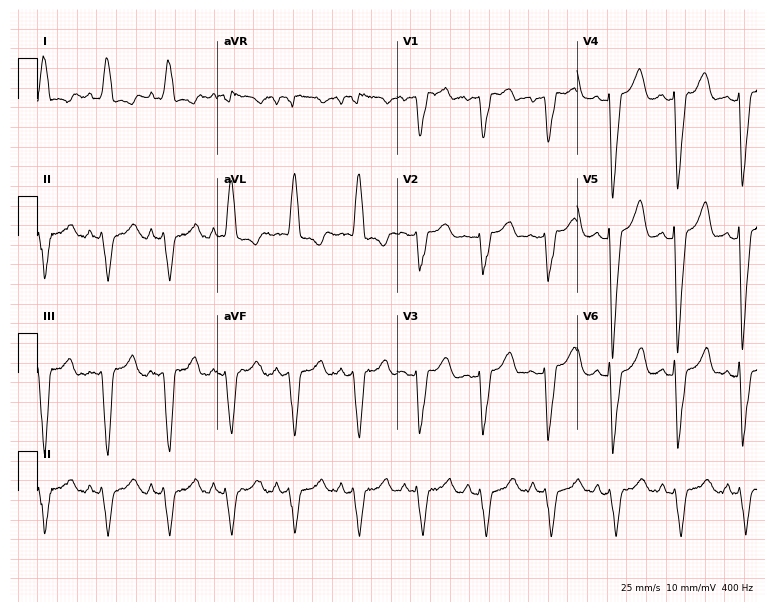
12-lead ECG from a female, 50 years old. Findings include left bundle branch block.